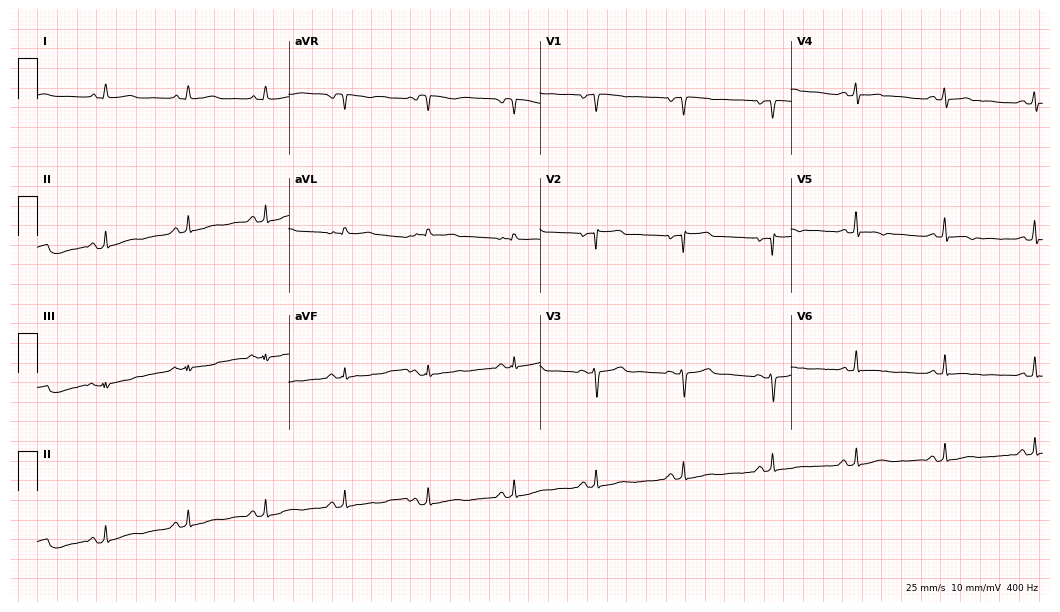
12-lead ECG (10.2-second recording at 400 Hz) from a 42-year-old female patient. Screened for six findings — first-degree AV block, right bundle branch block (RBBB), left bundle branch block (LBBB), sinus bradycardia, atrial fibrillation (AF), sinus tachycardia — none is recorded. Only these six findings were labelled.